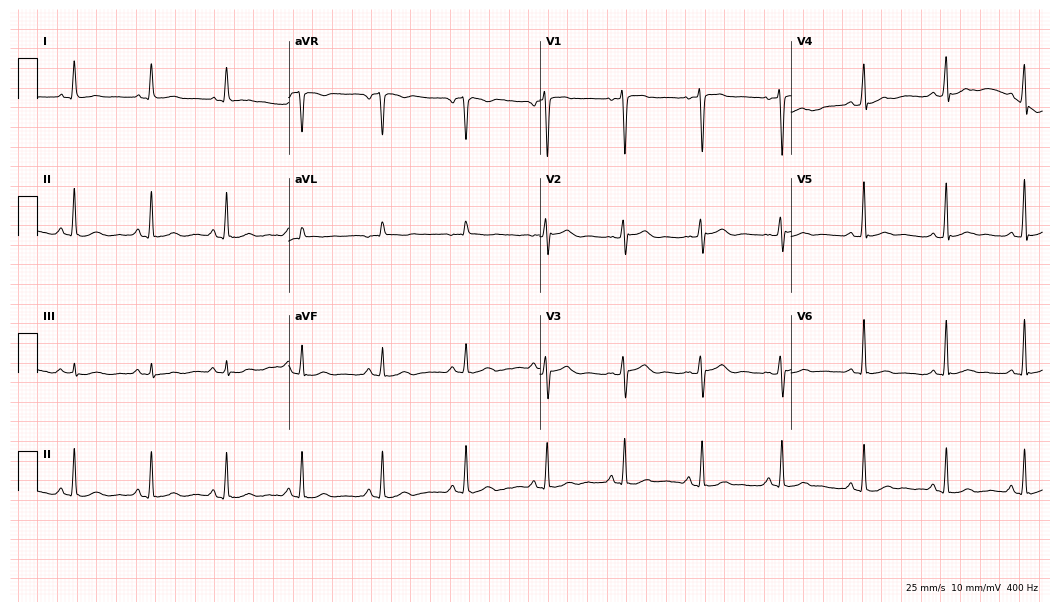
12-lead ECG (10.2-second recording at 400 Hz) from a female, 31 years old. Labelled as a normal ECG.